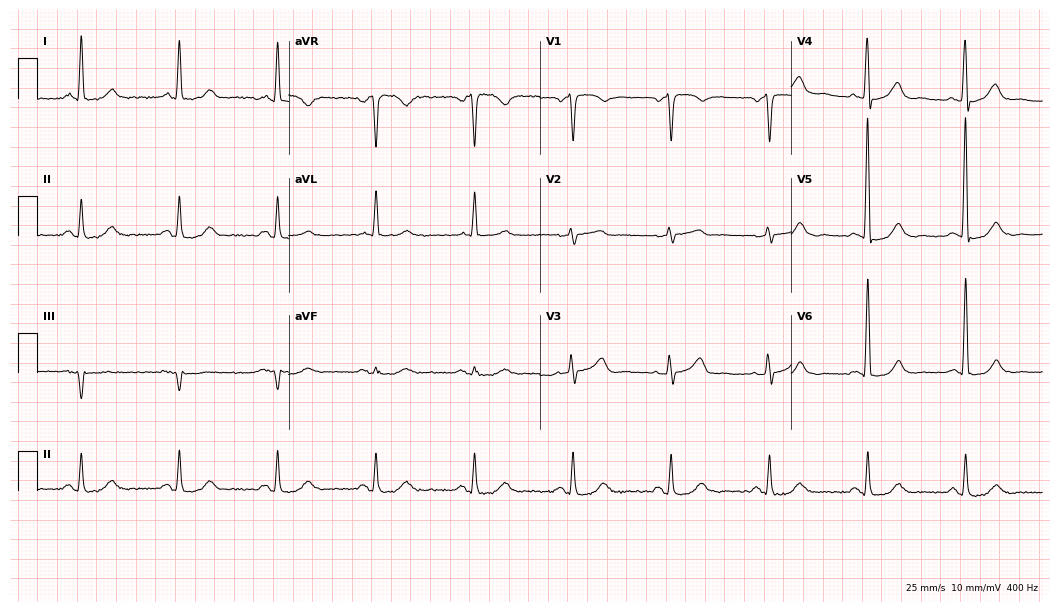
Resting 12-lead electrocardiogram. Patient: a 78-year-old male. None of these six findings is recorded: first-degree AV block, right bundle branch block, left bundle branch block, sinus bradycardia, atrial fibrillation, sinus tachycardia.